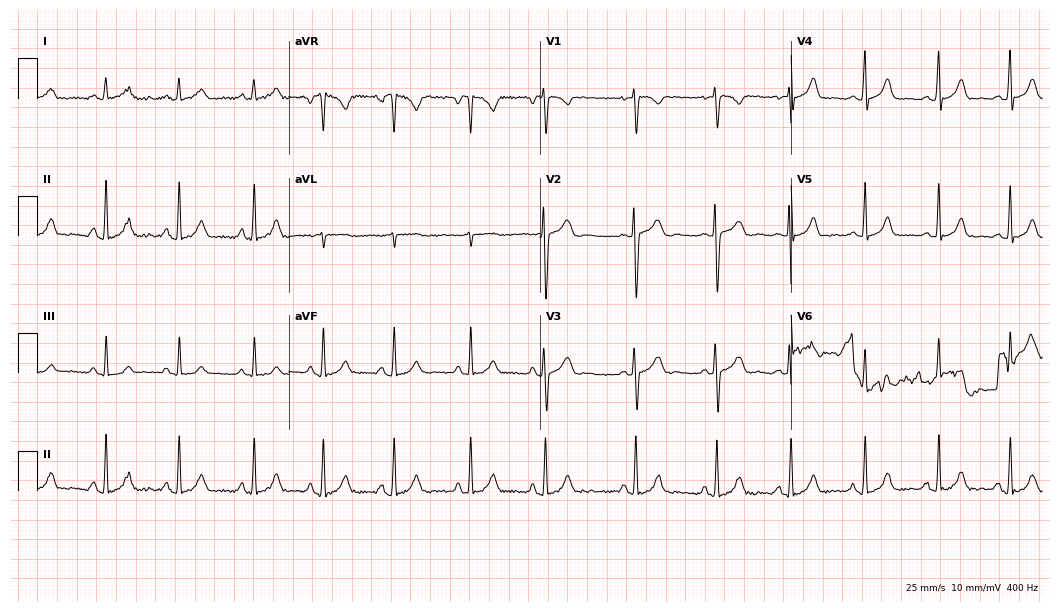
12-lead ECG from a woman, 26 years old. Labelled as a normal ECG.